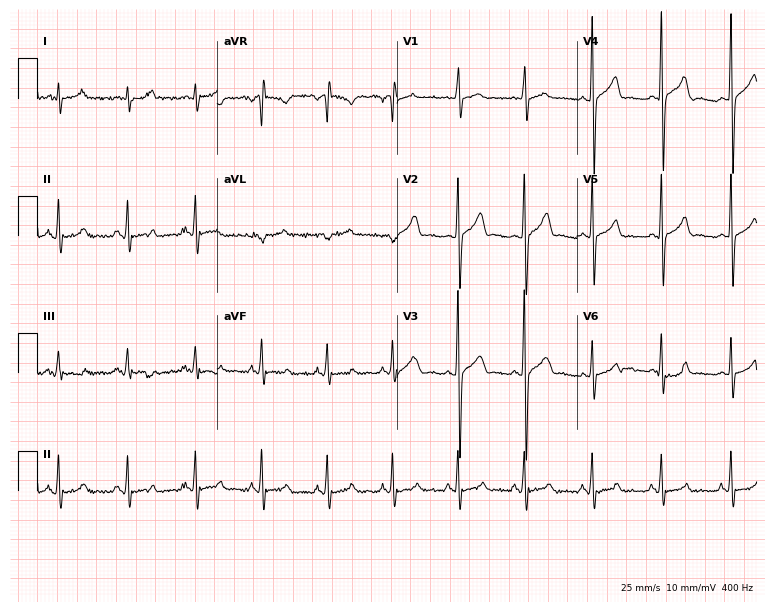
Resting 12-lead electrocardiogram (7.3-second recording at 400 Hz). Patient: a 45-year-old male. Read as a normal ECG.